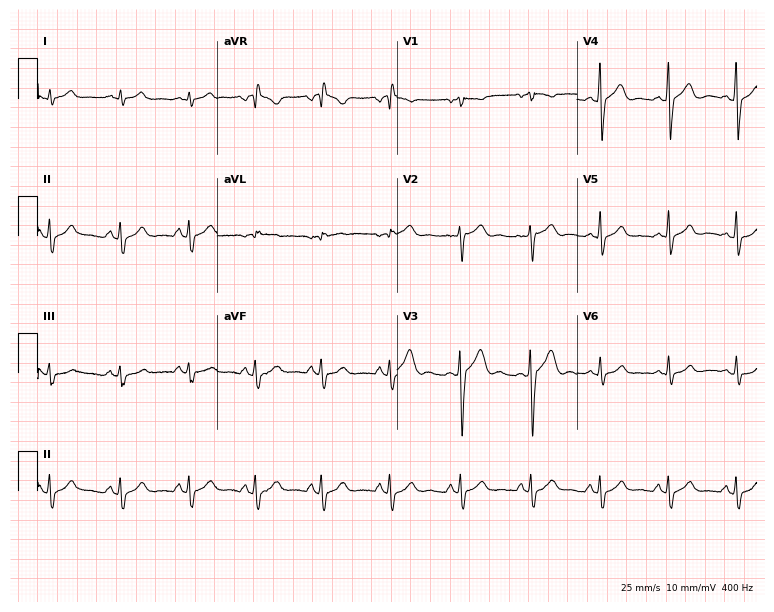
Standard 12-lead ECG recorded from a 26-year-old male patient. None of these six findings is recorded: first-degree AV block, right bundle branch block, left bundle branch block, sinus bradycardia, atrial fibrillation, sinus tachycardia. Other findings, if any, are not listed.